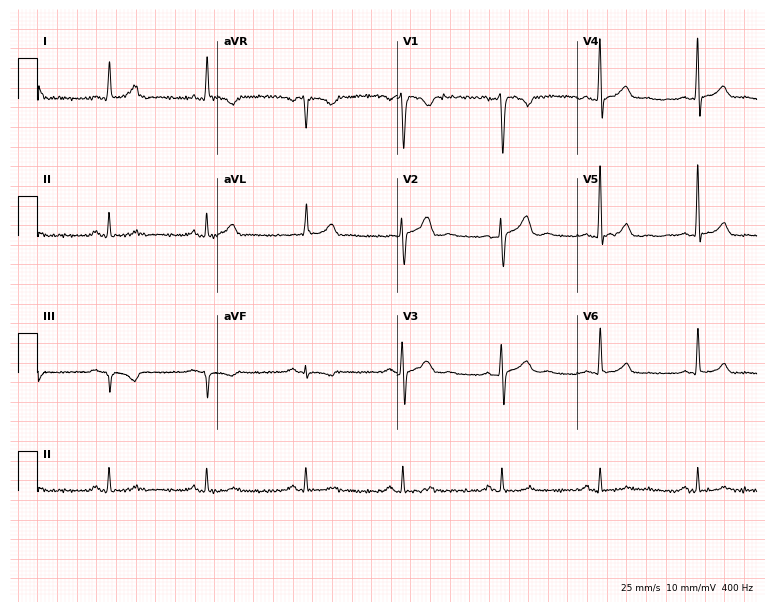
12-lead ECG from a man, 45 years old (7.3-second recording at 400 Hz). Recorded interpretation: within normal limits.